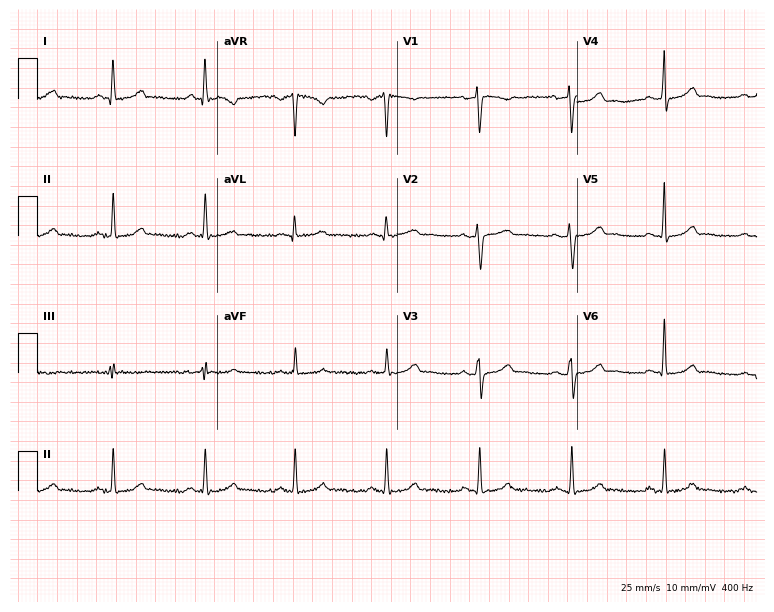
12-lead ECG from a female, 38 years old. Recorded interpretation: within normal limits.